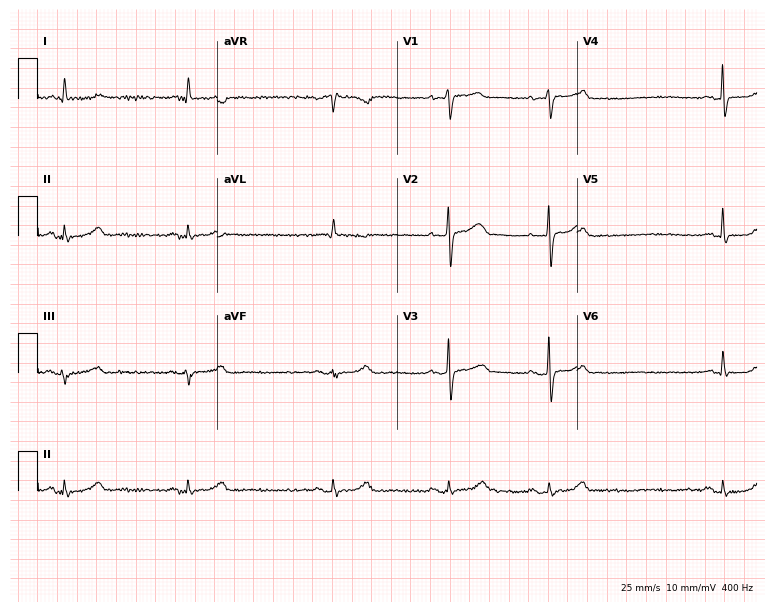
12-lead ECG from a 60-year-old woman (7.3-second recording at 400 Hz). No first-degree AV block, right bundle branch block, left bundle branch block, sinus bradycardia, atrial fibrillation or sinus tachycardia recorded for this tracing.